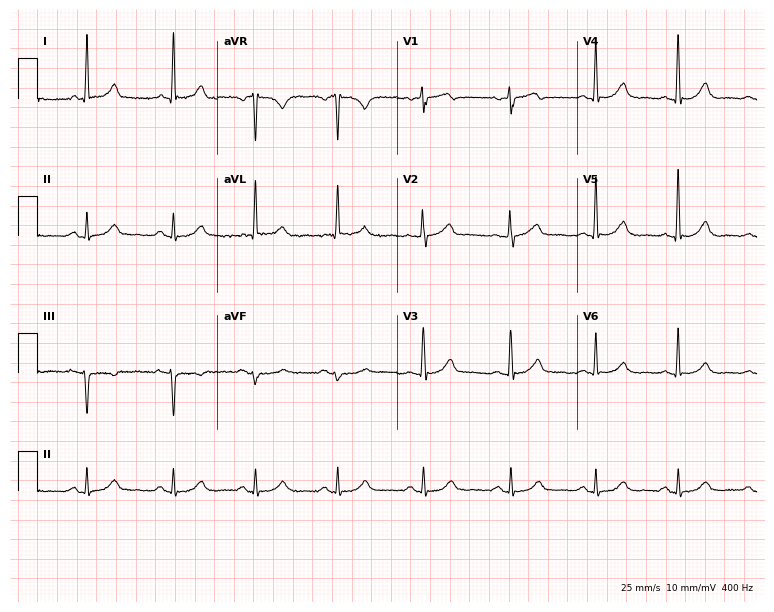
12-lead ECG from a 77-year-old female patient. Recorded interpretation: within normal limits.